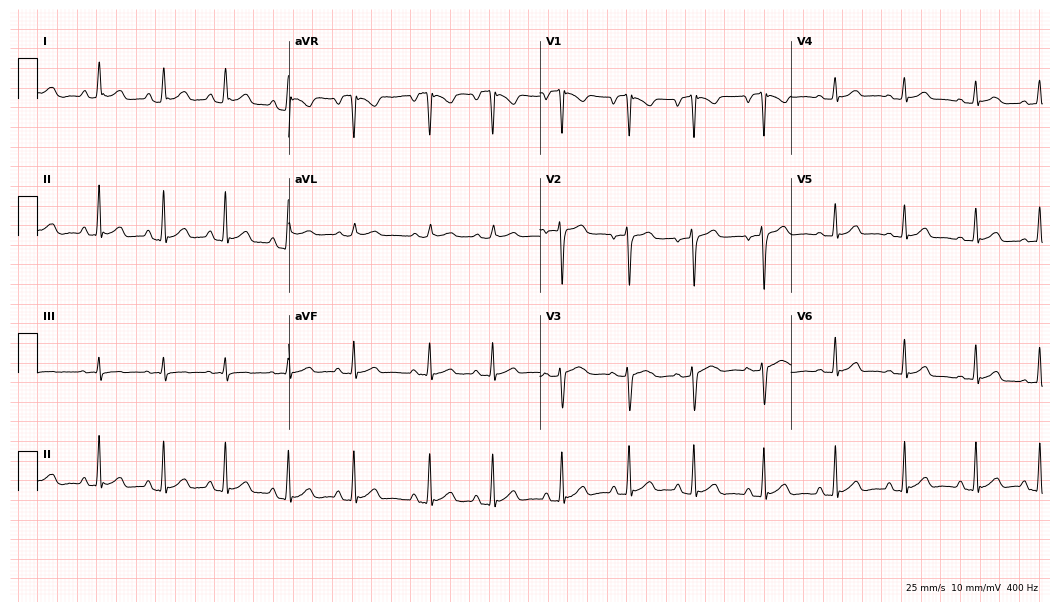
12-lead ECG from a 19-year-old woman (10.2-second recording at 400 Hz). Recorded interpretation: within normal limits.